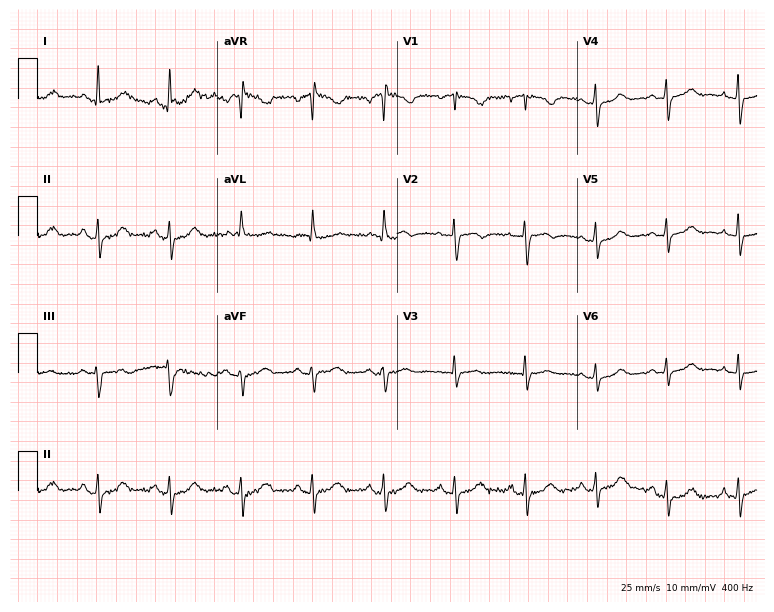
ECG (7.3-second recording at 400 Hz) — a female patient, 62 years old. Screened for six findings — first-degree AV block, right bundle branch block (RBBB), left bundle branch block (LBBB), sinus bradycardia, atrial fibrillation (AF), sinus tachycardia — none is recorded. Only these six findings were labelled.